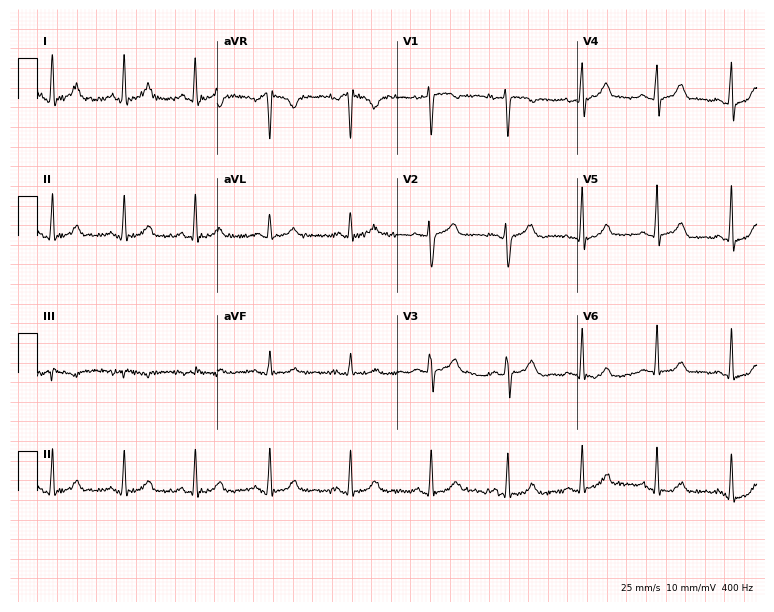
12-lead ECG from a 25-year-old female patient (7.3-second recording at 400 Hz). No first-degree AV block, right bundle branch block, left bundle branch block, sinus bradycardia, atrial fibrillation or sinus tachycardia recorded for this tracing.